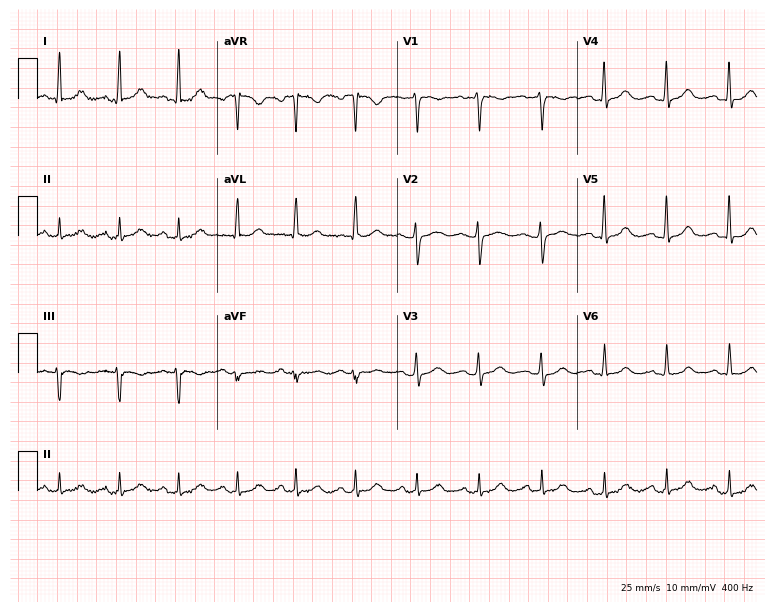
12-lead ECG from a 50-year-old woman. Screened for six findings — first-degree AV block, right bundle branch block, left bundle branch block, sinus bradycardia, atrial fibrillation, sinus tachycardia — none is recorded. Only these six findings were labelled.